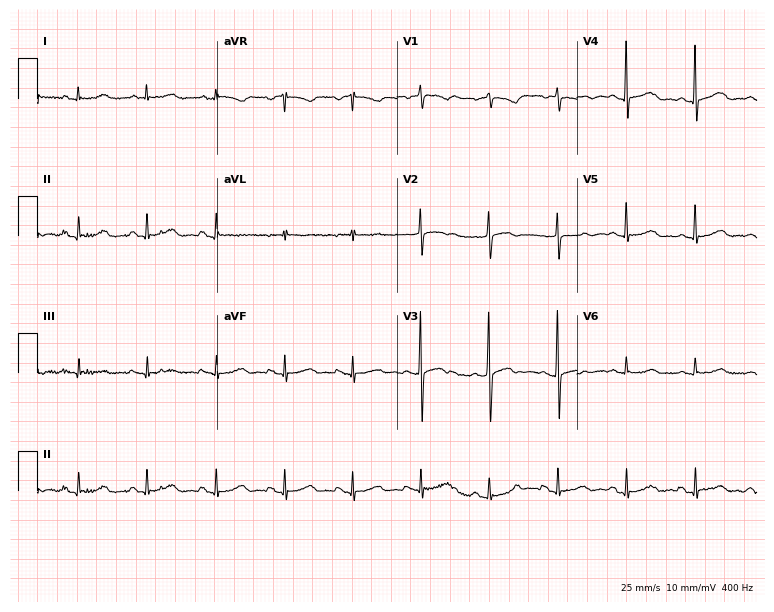
12-lead ECG from a woman, 79 years old. Labelled as a normal ECG.